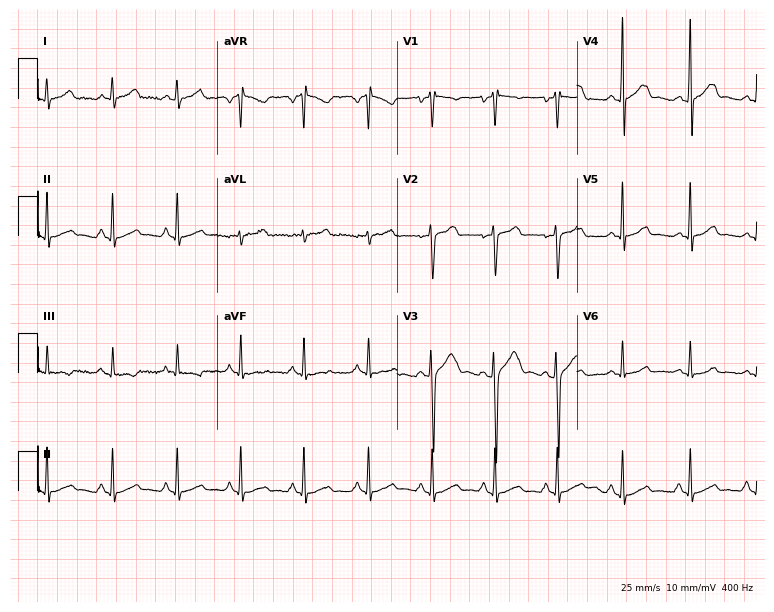
12-lead ECG from a male, 17 years old (7.3-second recording at 400 Hz). Recorded interpretation: within normal limits.